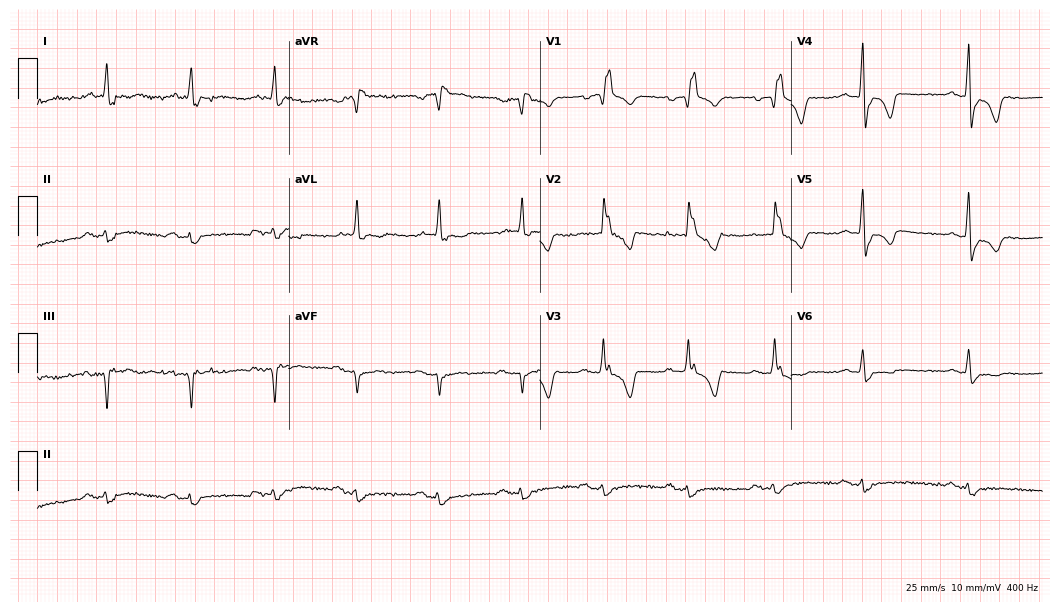
Resting 12-lead electrocardiogram. Patient: a man, 67 years old. None of these six findings is recorded: first-degree AV block, right bundle branch block, left bundle branch block, sinus bradycardia, atrial fibrillation, sinus tachycardia. Other findings, if any, are not listed.